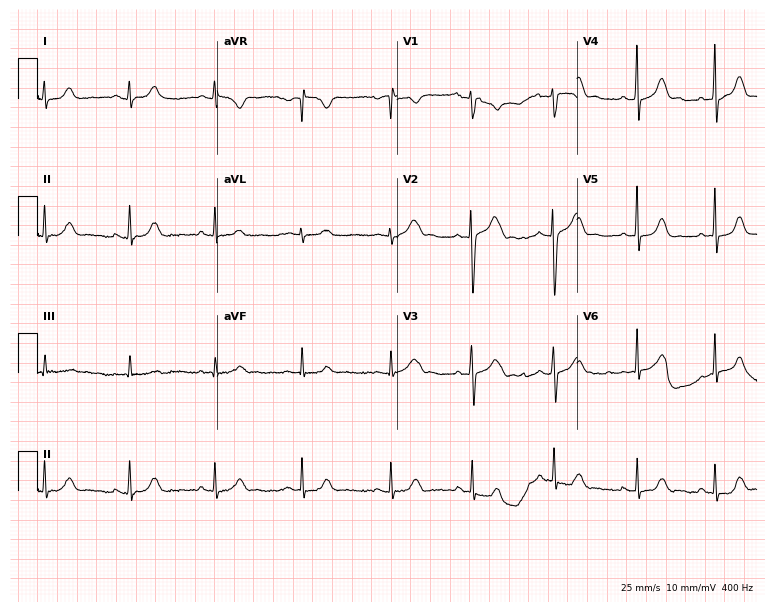
12-lead ECG from a female, 20 years old. Labelled as a normal ECG.